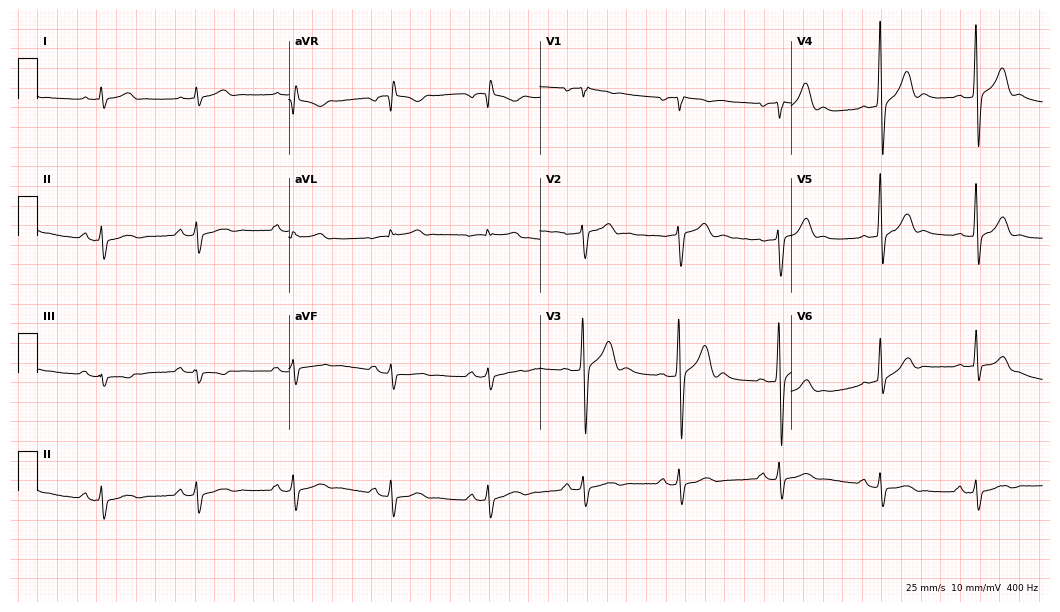
Electrocardiogram (10.2-second recording at 400 Hz), a 51-year-old male. Of the six screened findings (first-degree AV block, right bundle branch block (RBBB), left bundle branch block (LBBB), sinus bradycardia, atrial fibrillation (AF), sinus tachycardia), none is recorded. Findings outside these six are not listed.